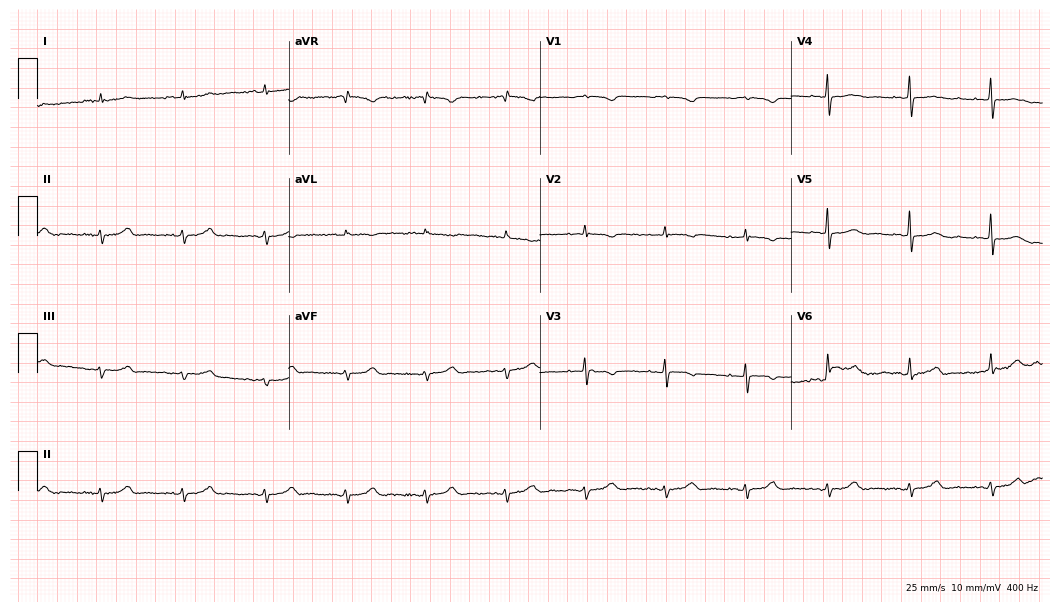
12-lead ECG from a 54-year-old woman. Screened for six findings — first-degree AV block, right bundle branch block, left bundle branch block, sinus bradycardia, atrial fibrillation, sinus tachycardia — none is recorded.